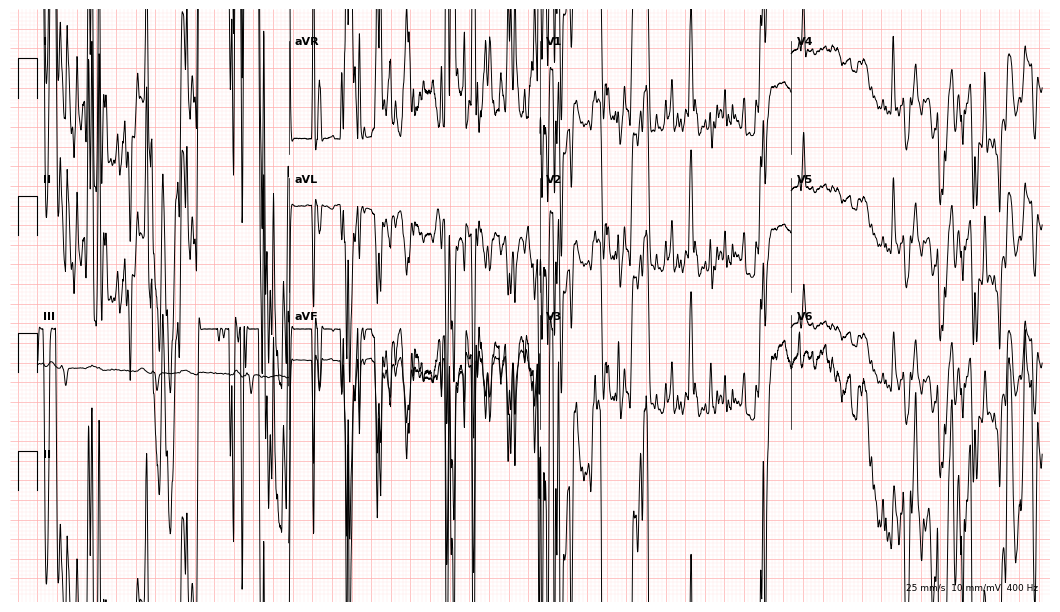
ECG — a female, 75 years old. Screened for six findings — first-degree AV block, right bundle branch block (RBBB), left bundle branch block (LBBB), sinus bradycardia, atrial fibrillation (AF), sinus tachycardia — none is recorded.